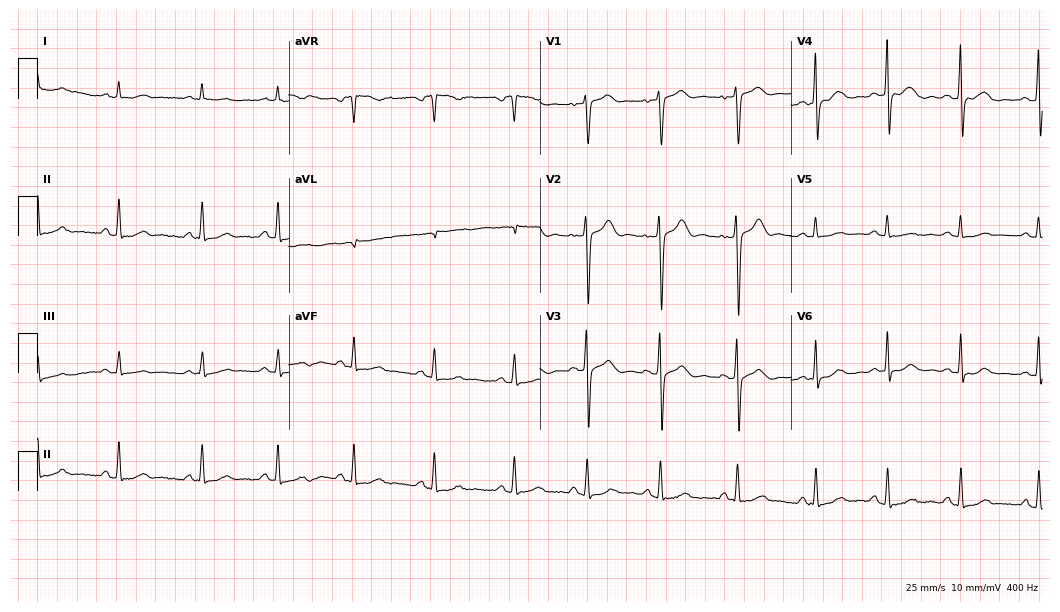
12-lead ECG (10.2-second recording at 400 Hz) from a 22-year-old female patient. Screened for six findings — first-degree AV block, right bundle branch block, left bundle branch block, sinus bradycardia, atrial fibrillation, sinus tachycardia — none is recorded. Findings outside these six are not listed.